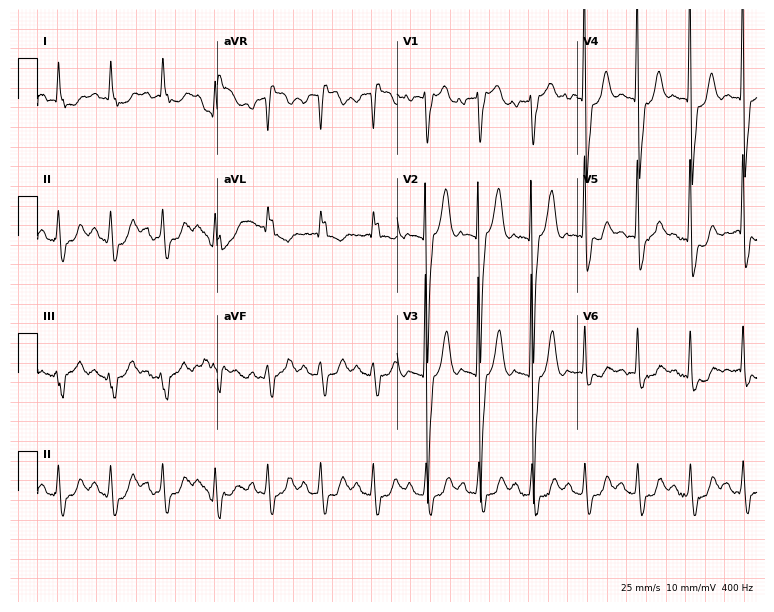
Resting 12-lead electrocardiogram (7.3-second recording at 400 Hz). Patient: a 61-year-old man. The tracing shows sinus tachycardia (a sinus rate of 100 beats per minute or more).